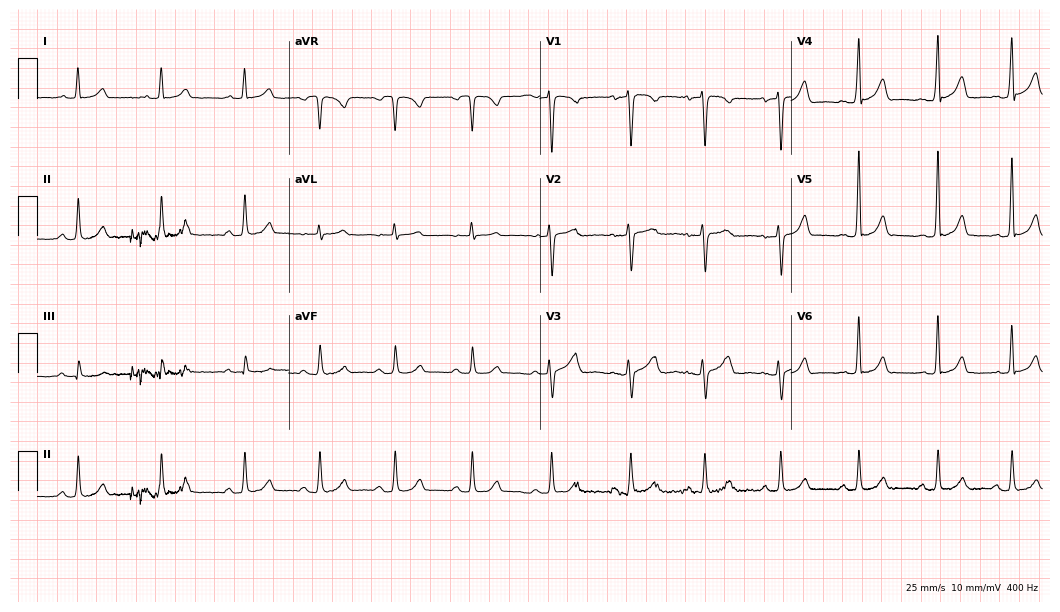
ECG (10.2-second recording at 400 Hz) — a 31-year-old female patient. Screened for six findings — first-degree AV block, right bundle branch block, left bundle branch block, sinus bradycardia, atrial fibrillation, sinus tachycardia — none is recorded. Other findings, if any, are not listed.